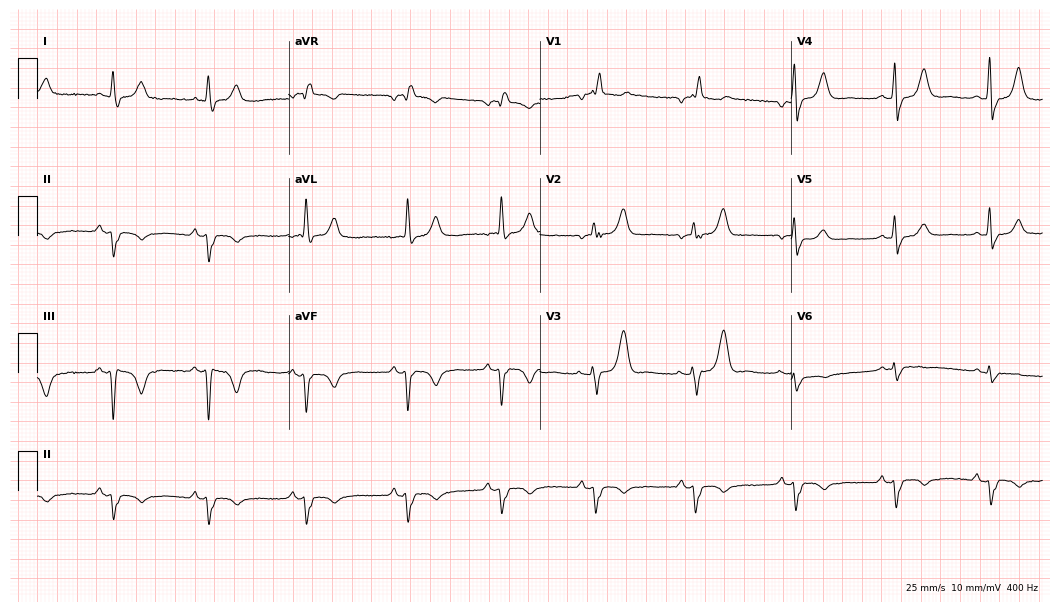
12-lead ECG from a female patient, 81 years old. Shows right bundle branch block.